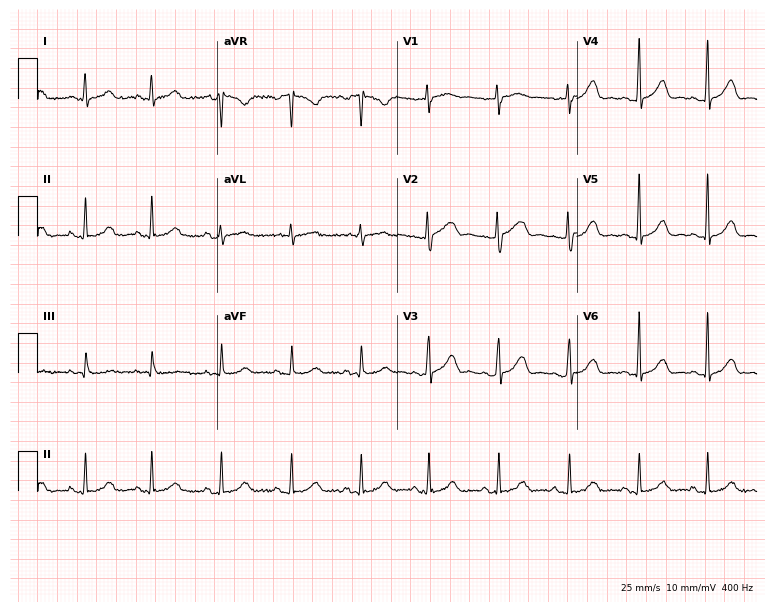
Standard 12-lead ECG recorded from a woman, 45 years old. Read as a normal ECG.